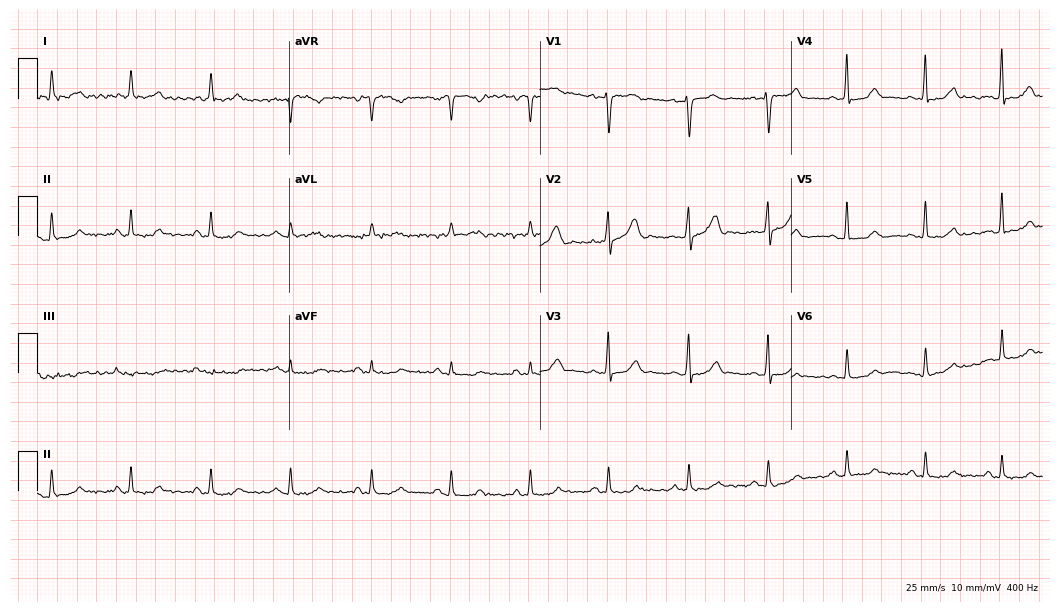
12-lead ECG (10.2-second recording at 400 Hz) from a woman, 42 years old. Screened for six findings — first-degree AV block, right bundle branch block, left bundle branch block, sinus bradycardia, atrial fibrillation, sinus tachycardia — none is recorded.